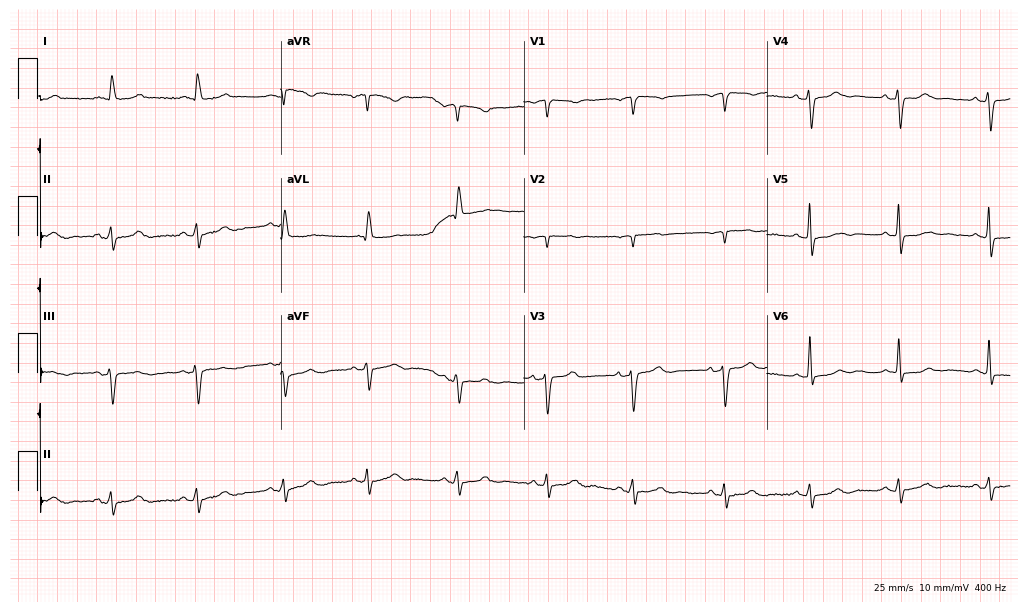
12-lead ECG from a female, 66 years old. No first-degree AV block, right bundle branch block (RBBB), left bundle branch block (LBBB), sinus bradycardia, atrial fibrillation (AF) or sinus tachycardia recorded for this tracing.